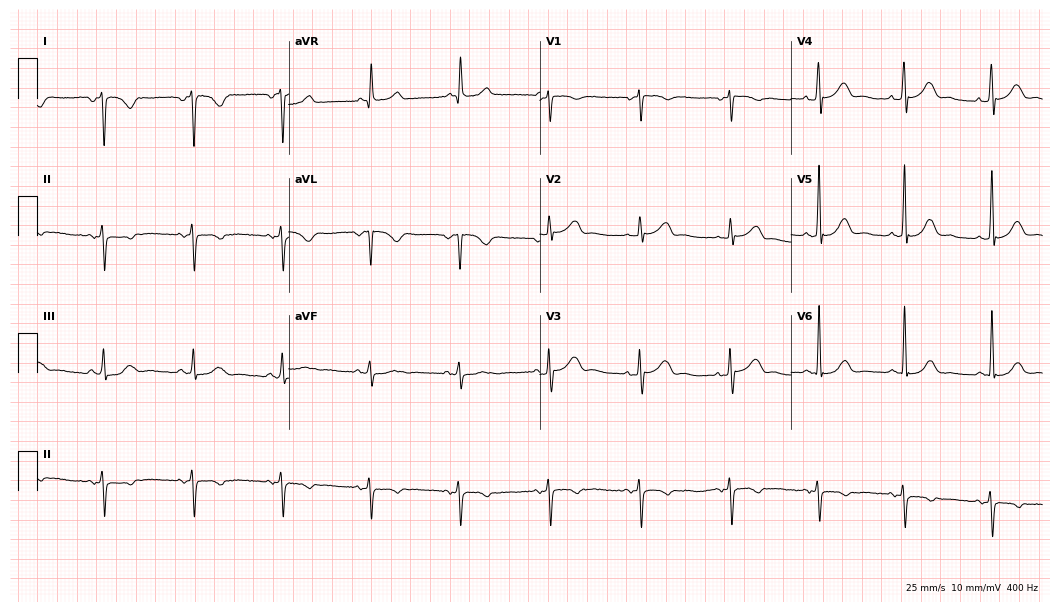
12-lead ECG from a 55-year-old female patient. Screened for six findings — first-degree AV block, right bundle branch block, left bundle branch block, sinus bradycardia, atrial fibrillation, sinus tachycardia — none is recorded.